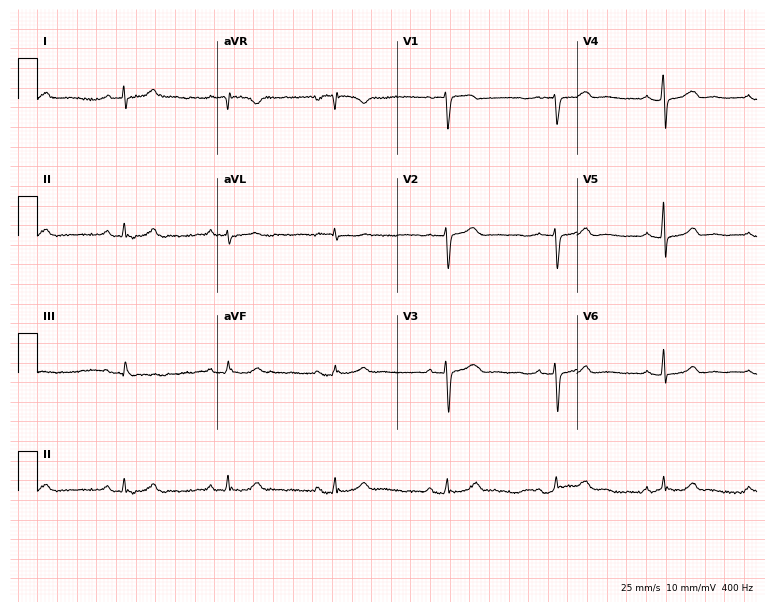
Standard 12-lead ECG recorded from a 56-year-old female patient (7.3-second recording at 400 Hz). Read as a normal ECG.